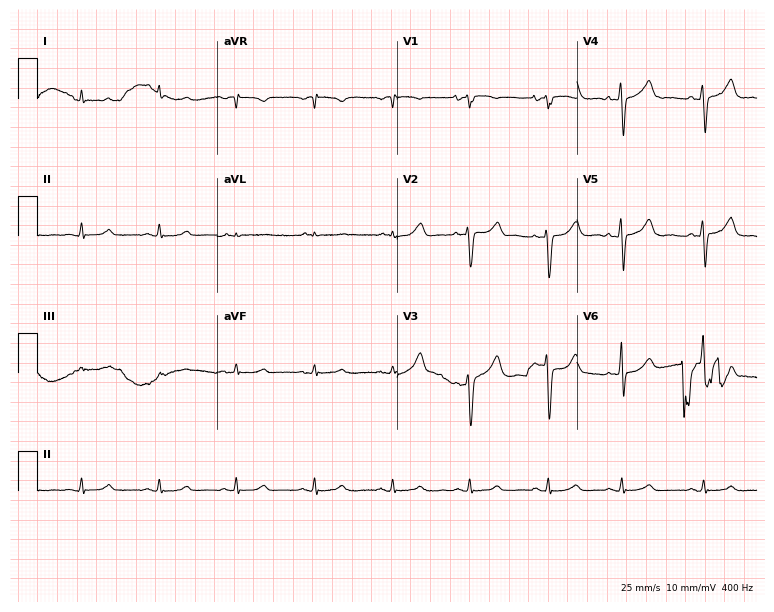
12-lead ECG from a male, 73 years old. Screened for six findings — first-degree AV block, right bundle branch block, left bundle branch block, sinus bradycardia, atrial fibrillation, sinus tachycardia — none is recorded.